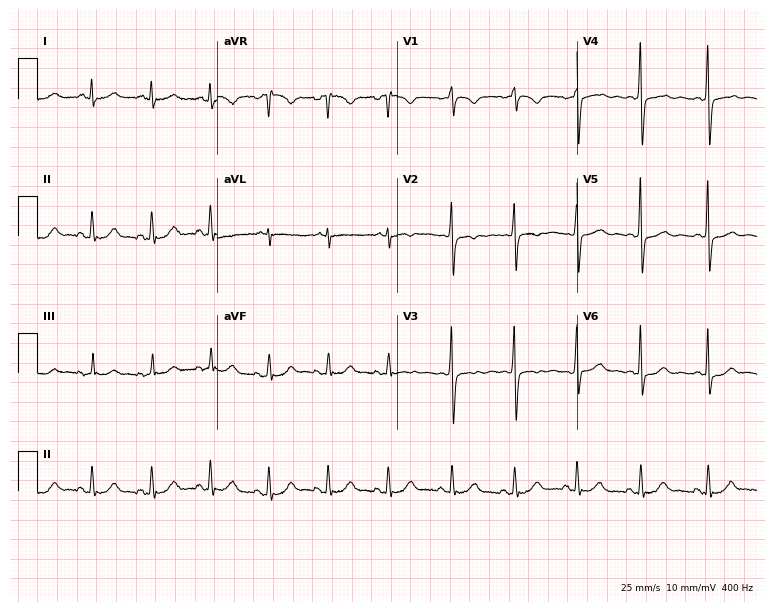
Electrocardiogram, a 53-year-old woman. Of the six screened findings (first-degree AV block, right bundle branch block, left bundle branch block, sinus bradycardia, atrial fibrillation, sinus tachycardia), none is recorded.